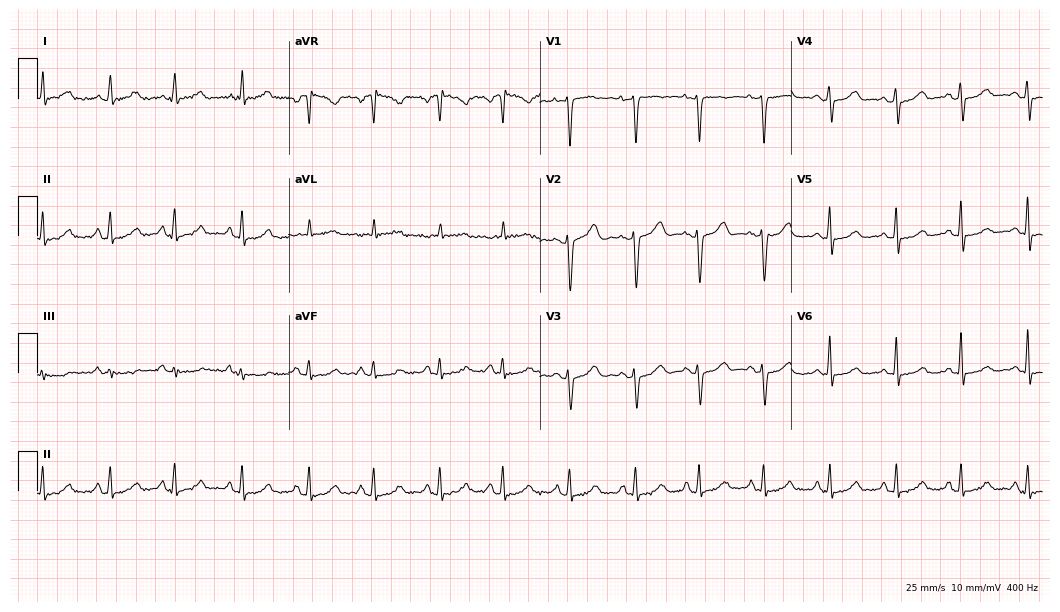
Electrocardiogram, a 57-year-old female. Overall reading on record: normal ECG.